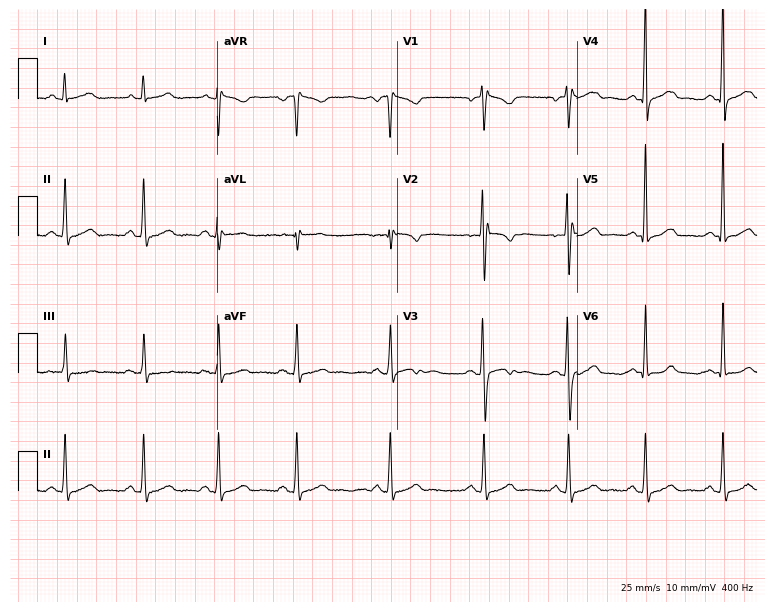
12-lead ECG from a female, 23 years old. Recorded interpretation: within normal limits.